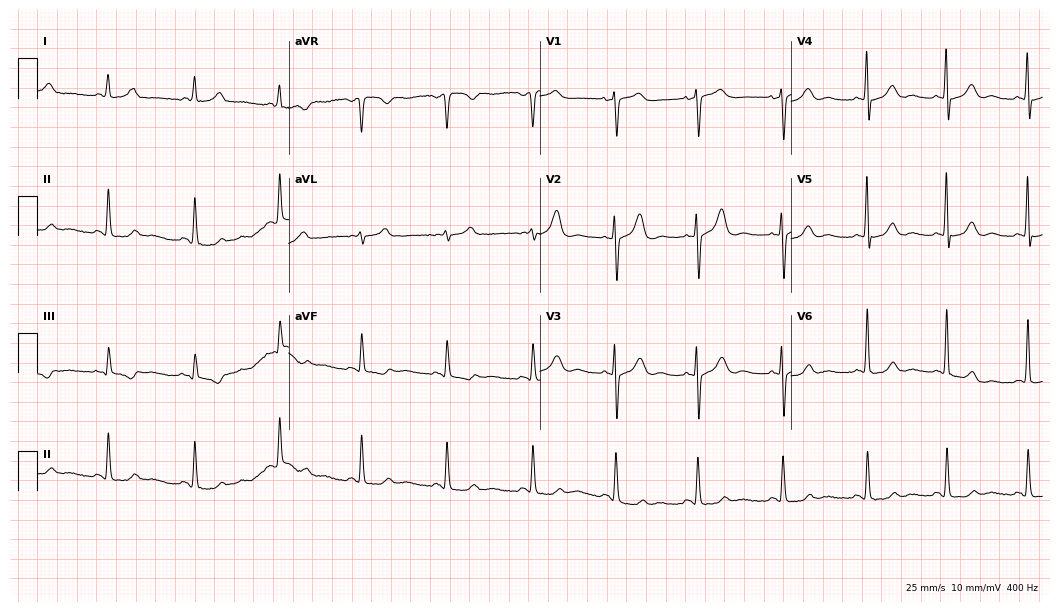
Standard 12-lead ECG recorded from a female patient, 57 years old (10.2-second recording at 400 Hz). Read as a normal ECG.